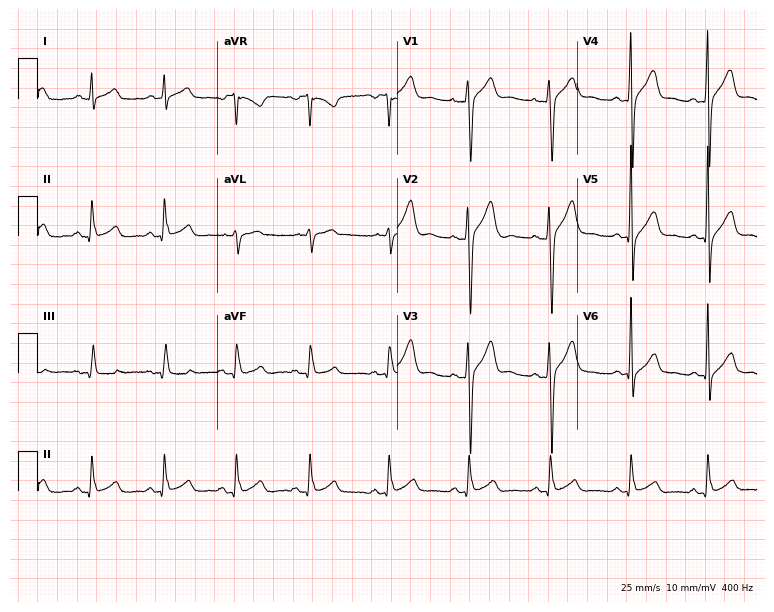
Resting 12-lead electrocardiogram. Patient: a man, 24 years old. Read as a normal ECG.